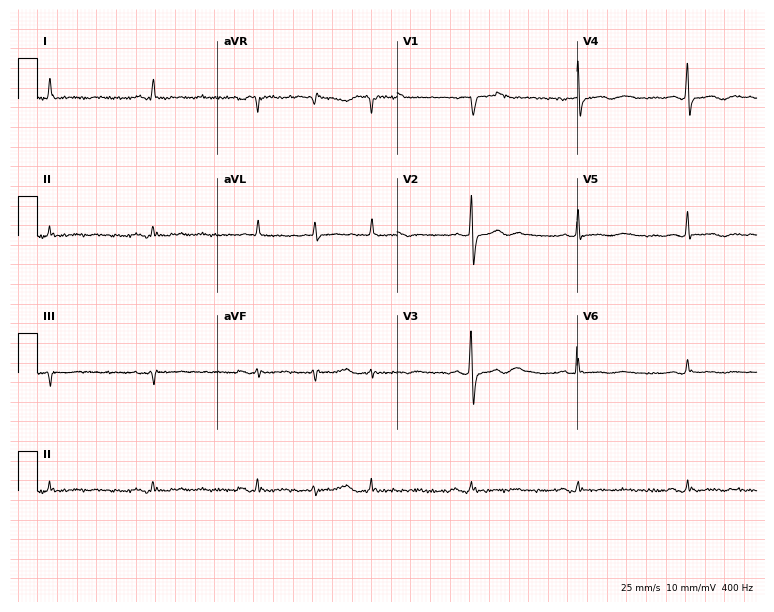
Standard 12-lead ECG recorded from a male, 81 years old (7.3-second recording at 400 Hz). None of these six findings is recorded: first-degree AV block, right bundle branch block, left bundle branch block, sinus bradycardia, atrial fibrillation, sinus tachycardia.